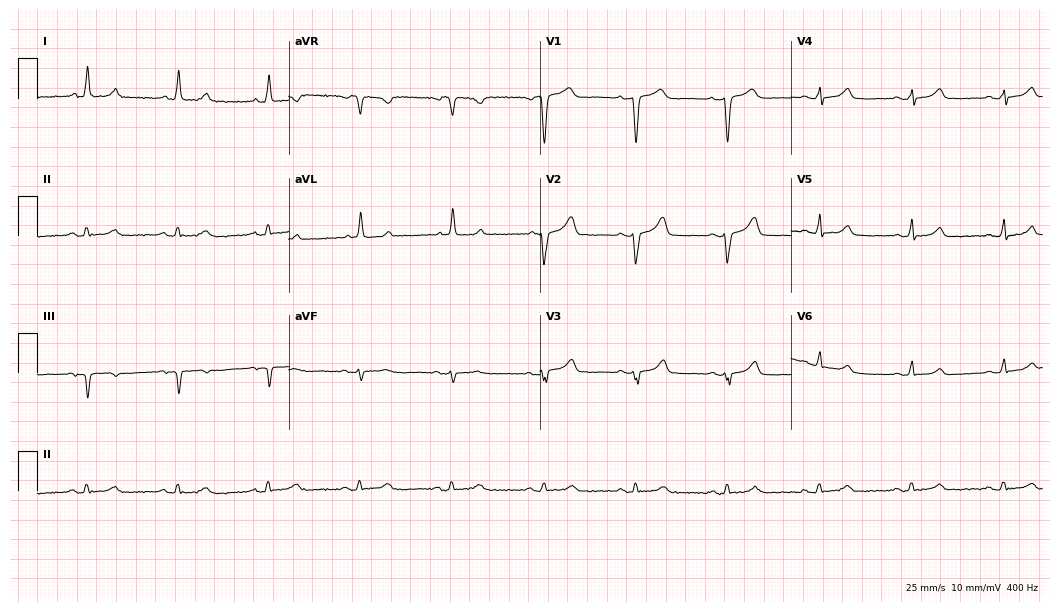
Resting 12-lead electrocardiogram. Patient: a female, 81 years old. None of these six findings is recorded: first-degree AV block, right bundle branch block, left bundle branch block, sinus bradycardia, atrial fibrillation, sinus tachycardia.